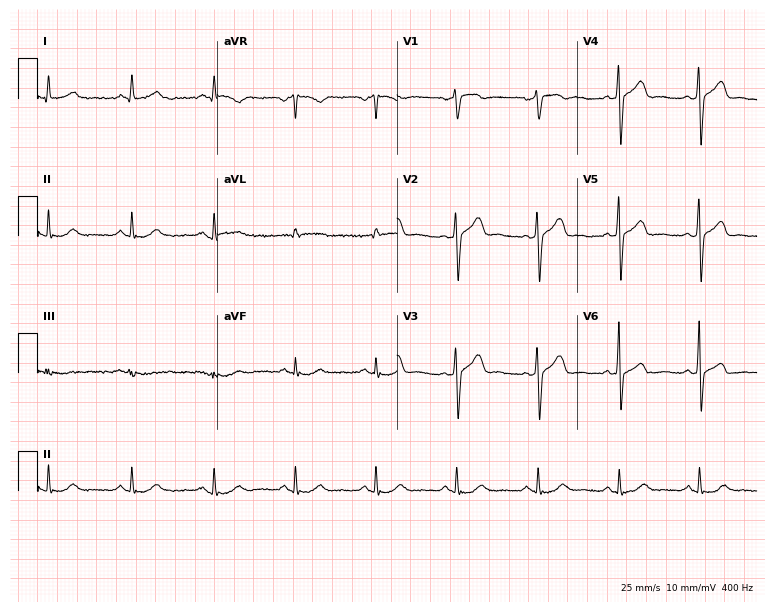
12-lead ECG from a man, 59 years old (7.3-second recording at 400 Hz). No first-degree AV block, right bundle branch block, left bundle branch block, sinus bradycardia, atrial fibrillation or sinus tachycardia recorded for this tracing. Only these six findings were labelled.